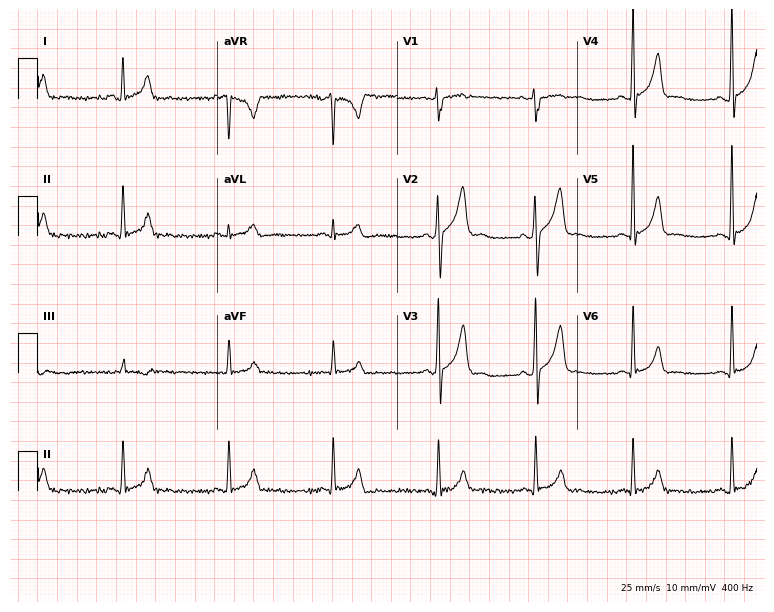
Electrocardiogram (7.3-second recording at 400 Hz), a 34-year-old man. Of the six screened findings (first-degree AV block, right bundle branch block (RBBB), left bundle branch block (LBBB), sinus bradycardia, atrial fibrillation (AF), sinus tachycardia), none is recorded.